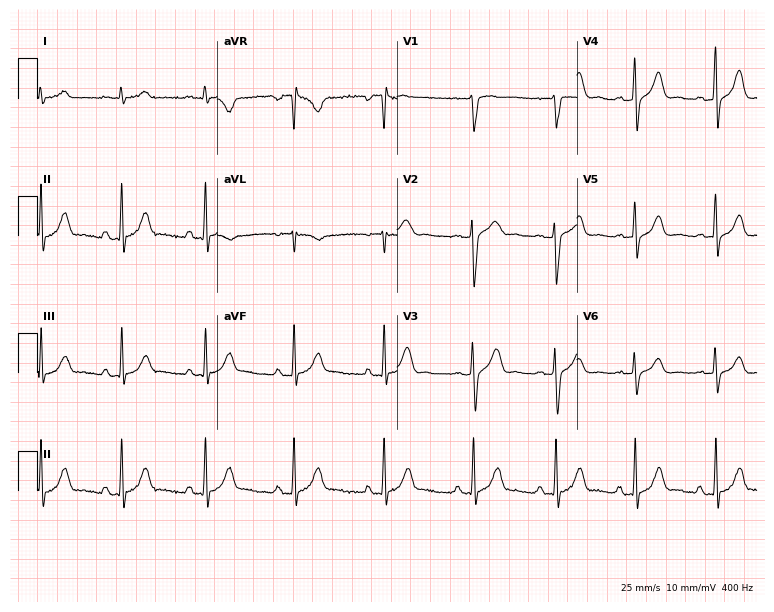
Electrocardiogram (7.3-second recording at 400 Hz), a male patient, 23 years old. Overall reading on record: normal ECG.